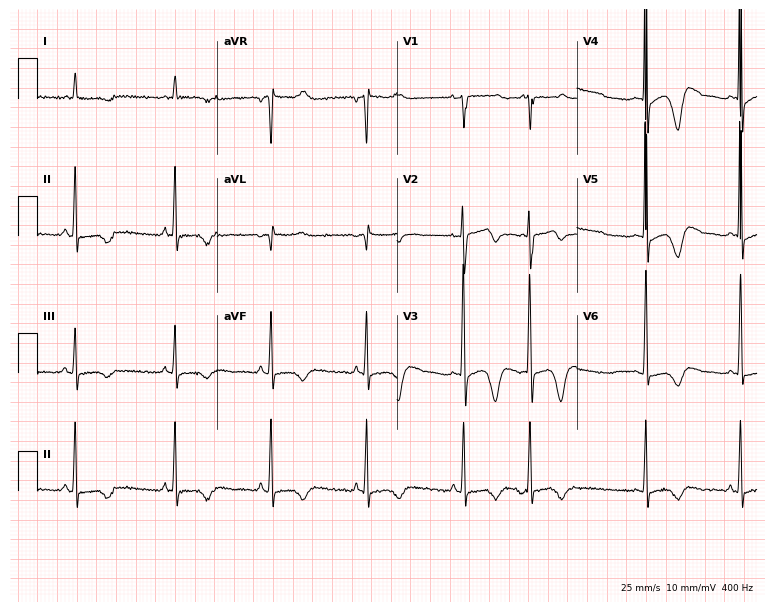
12-lead ECG (7.3-second recording at 400 Hz) from a 79-year-old woman. Screened for six findings — first-degree AV block, right bundle branch block, left bundle branch block, sinus bradycardia, atrial fibrillation, sinus tachycardia — none is recorded. Other findings, if any, are not listed.